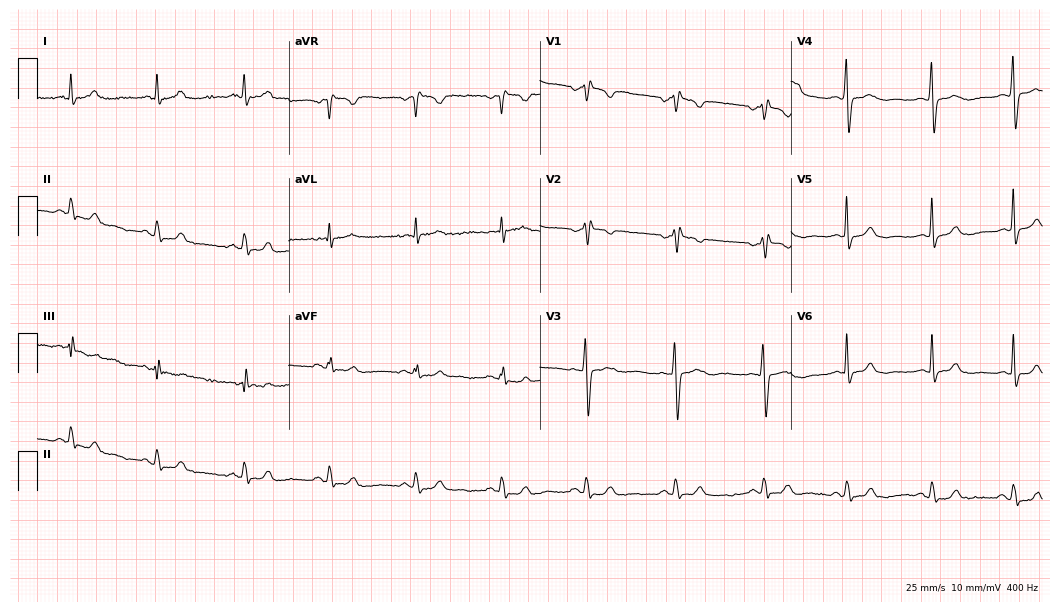
12-lead ECG from a woman, 49 years old (10.2-second recording at 400 Hz). Shows right bundle branch block (RBBB).